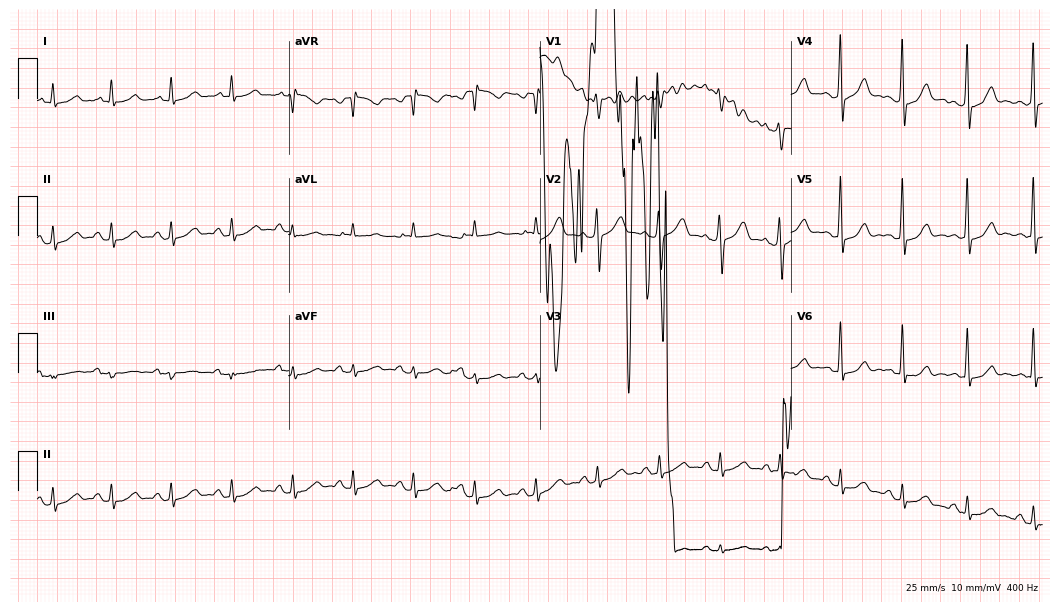
12-lead ECG from a man, 61 years old. Screened for six findings — first-degree AV block, right bundle branch block, left bundle branch block, sinus bradycardia, atrial fibrillation, sinus tachycardia — none is recorded. Other findings, if any, are not listed.